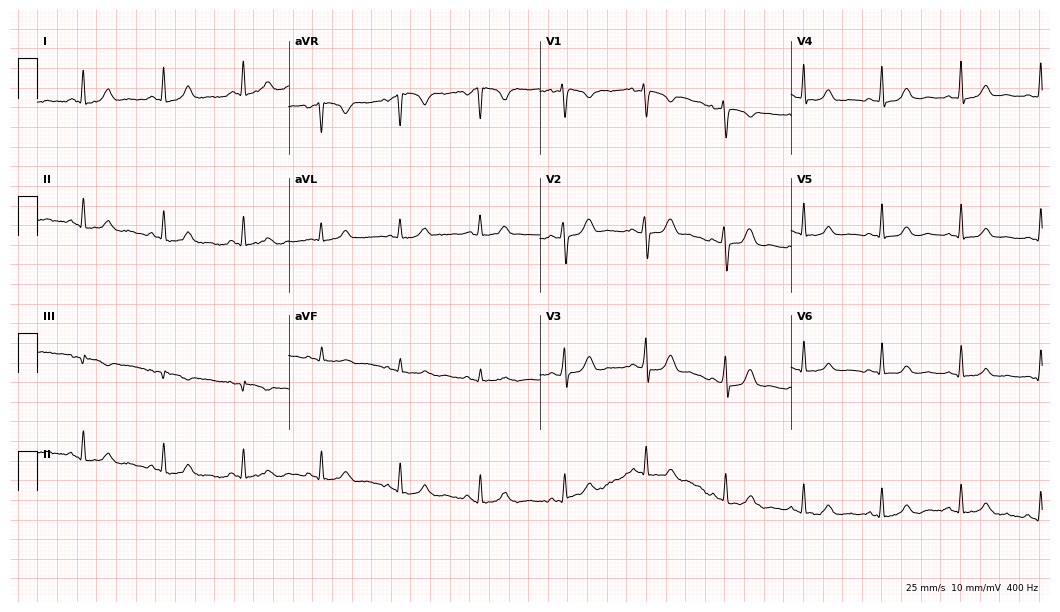
ECG (10.2-second recording at 400 Hz) — a 33-year-old female. Labelled as a normal ECG.